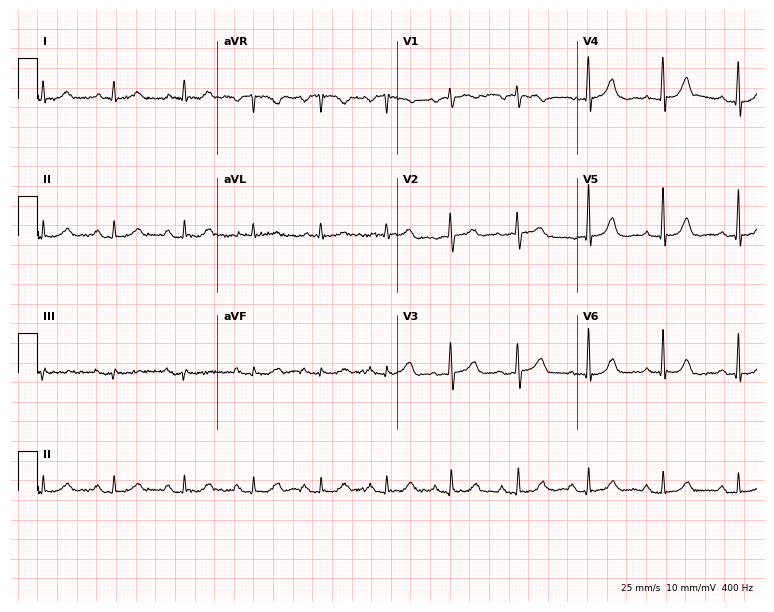
12-lead ECG (7.3-second recording at 400 Hz) from a 71-year-old female patient. Labelled as a normal ECG.